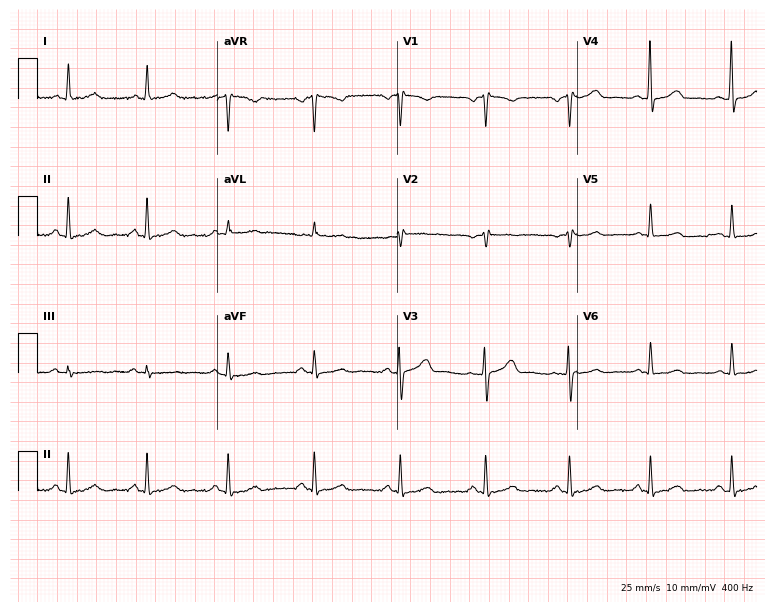
12-lead ECG from a woman, 43 years old. Screened for six findings — first-degree AV block, right bundle branch block, left bundle branch block, sinus bradycardia, atrial fibrillation, sinus tachycardia — none is recorded. Other findings, if any, are not listed.